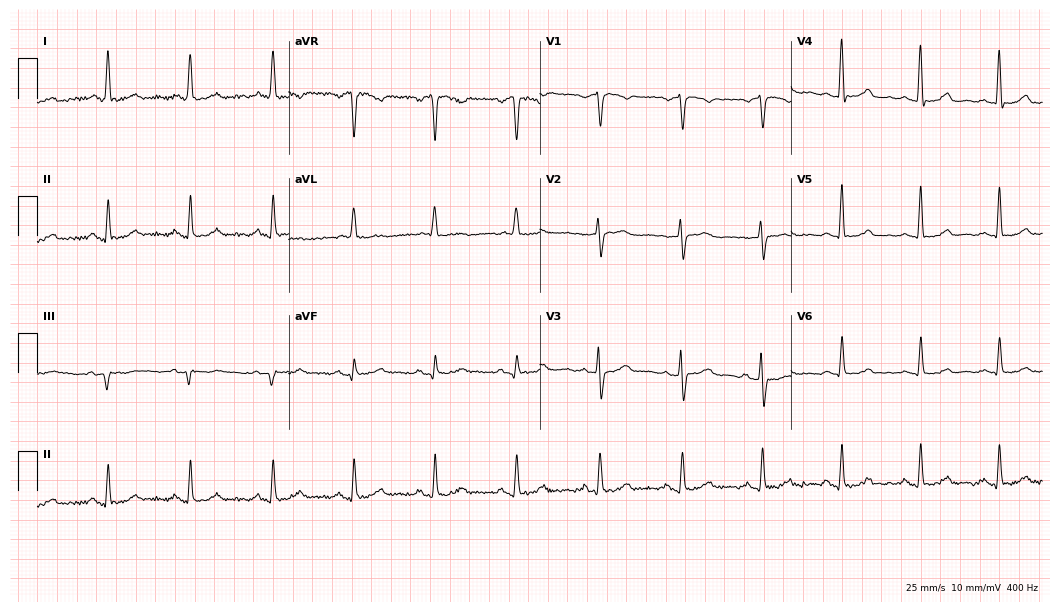
ECG (10.2-second recording at 400 Hz) — a 69-year-old woman. Labelled as a normal ECG.